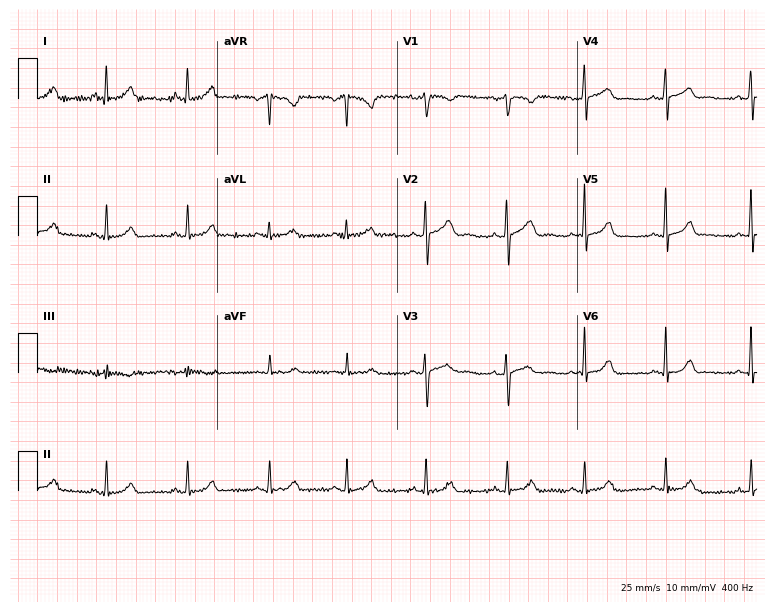
Resting 12-lead electrocardiogram. Patient: a female, 30 years old. Read as a normal ECG.